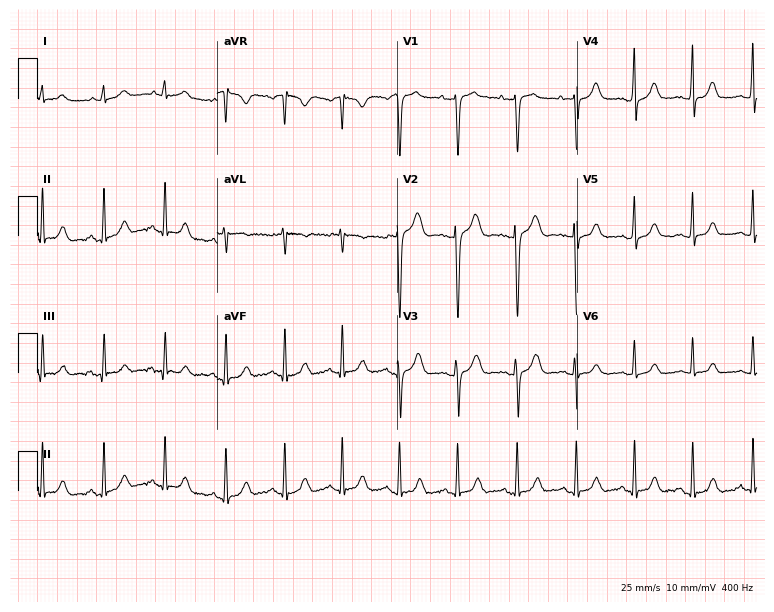
Electrocardiogram, a 19-year-old woman. Overall reading on record: normal ECG.